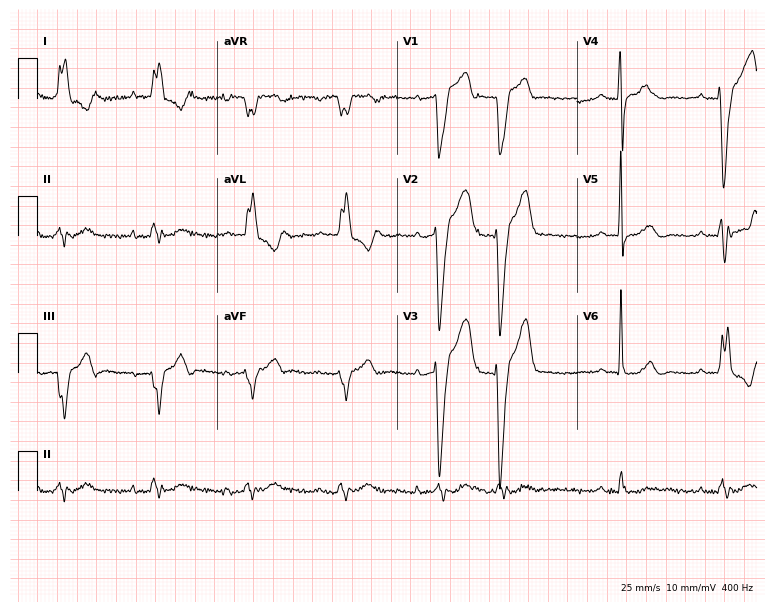
Resting 12-lead electrocardiogram. Patient: a 71-year-old man. The tracing shows first-degree AV block.